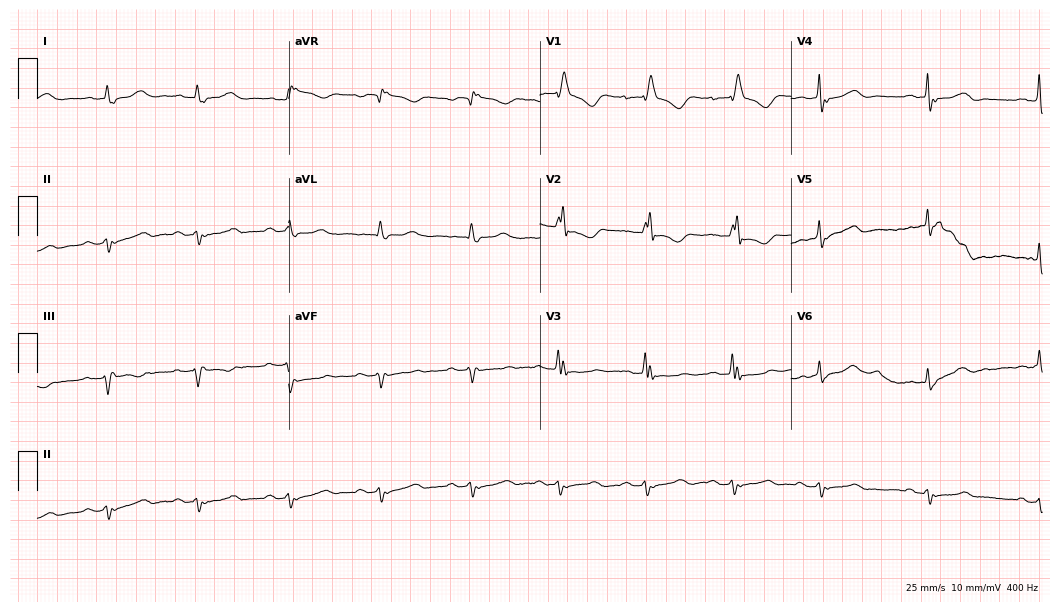
ECG (10.2-second recording at 400 Hz) — a 65-year-old woman. Screened for six findings — first-degree AV block, right bundle branch block, left bundle branch block, sinus bradycardia, atrial fibrillation, sinus tachycardia — none is recorded.